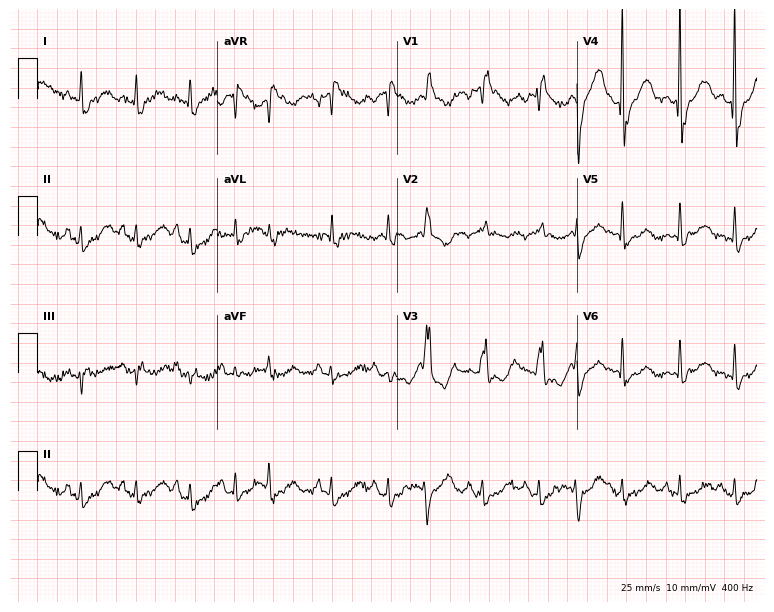
Resting 12-lead electrocardiogram. Patient: a 75-year-old woman. The tracing shows right bundle branch block.